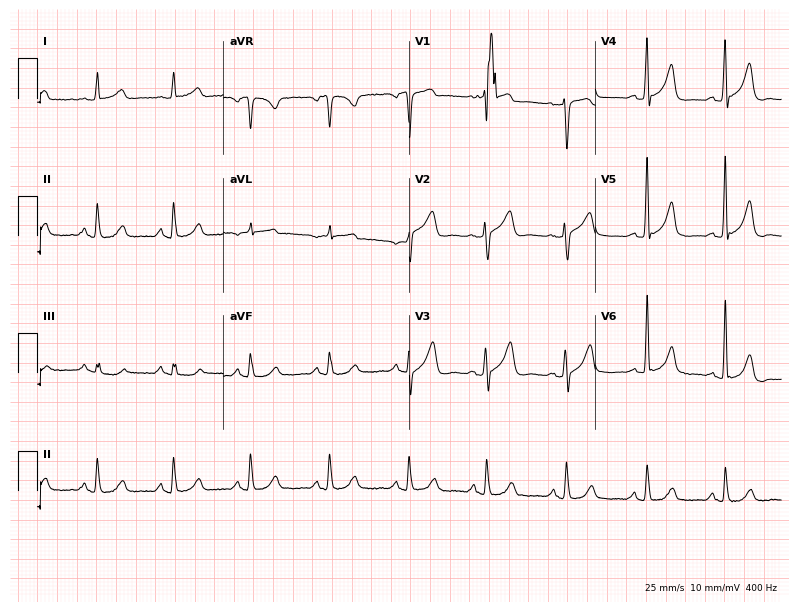
Electrocardiogram, an 81-year-old female. Of the six screened findings (first-degree AV block, right bundle branch block (RBBB), left bundle branch block (LBBB), sinus bradycardia, atrial fibrillation (AF), sinus tachycardia), none is recorded. Findings outside these six are not listed.